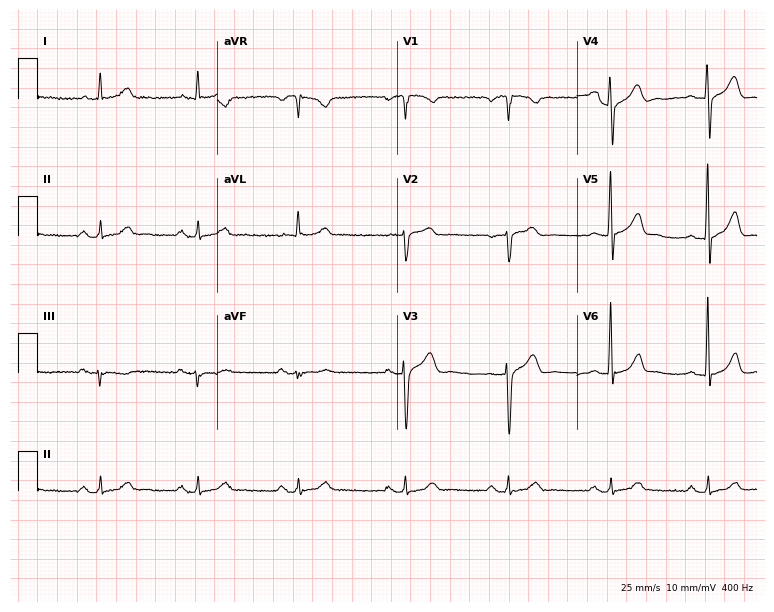
12-lead ECG (7.3-second recording at 400 Hz) from a man, 65 years old. Findings include sinus bradycardia (a sinus rate of 50 beats per minute or less).